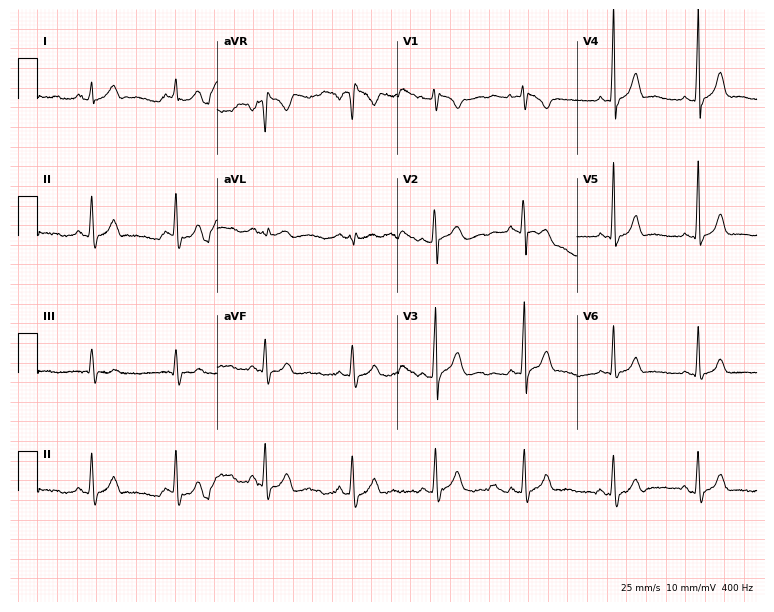
Standard 12-lead ECG recorded from a woman, 21 years old. None of these six findings is recorded: first-degree AV block, right bundle branch block, left bundle branch block, sinus bradycardia, atrial fibrillation, sinus tachycardia. Only these six findings were labelled.